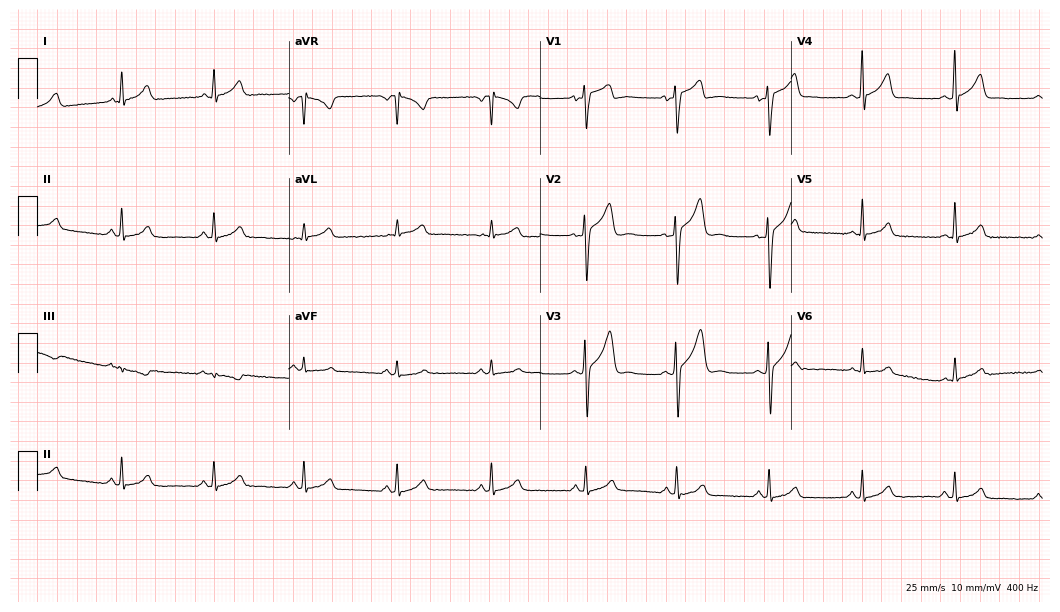
Electrocardiogram (10.2-second recording at 400 Hz), a man, 19 years old. Of the six screened findings (first-degree AV block, right bundle branch block (RBBB), left bundle branch block (LBBB), sinus bradycardia, atrial fibrillation (AF), sinus tachycardia), none is recorded.